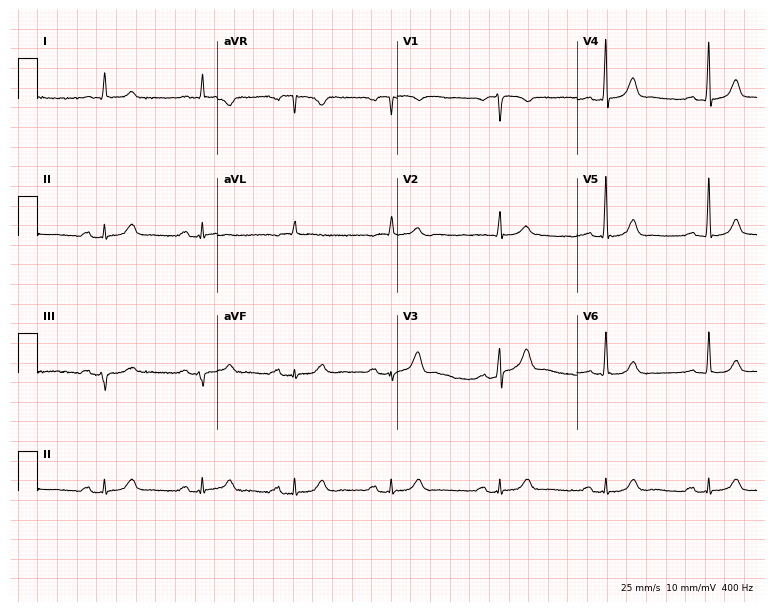
Standard 12-lead ECG recorded from an 84-year-old male (7.3-second recording at 400 Hz). The tracing shows first-degree AV block.